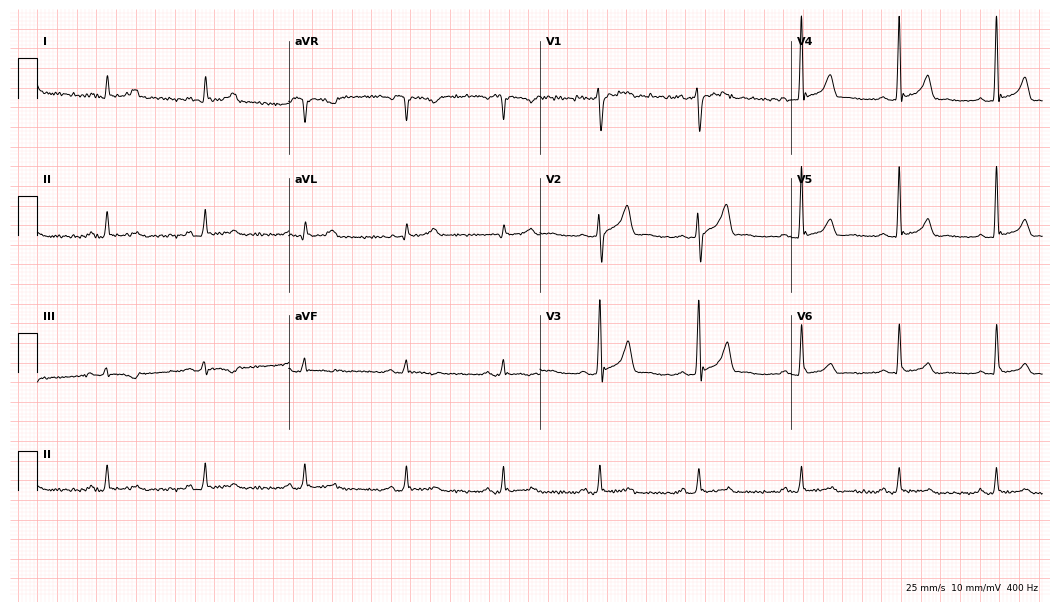
Electrocardiogram (10.2-second recording at 400 Hz), a 47-year-old male. Overall reading on record: normal ECG.